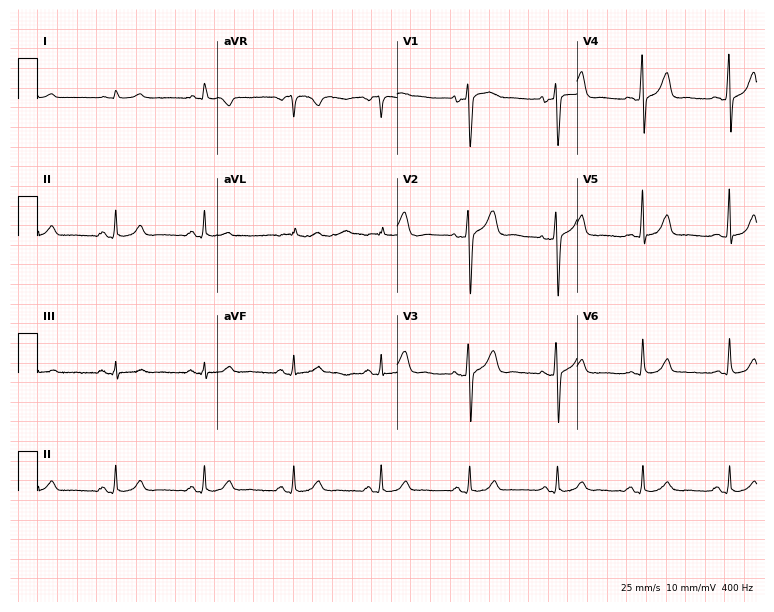
ECG — a 54-year-old male patient. Labelled as a normal ECG.